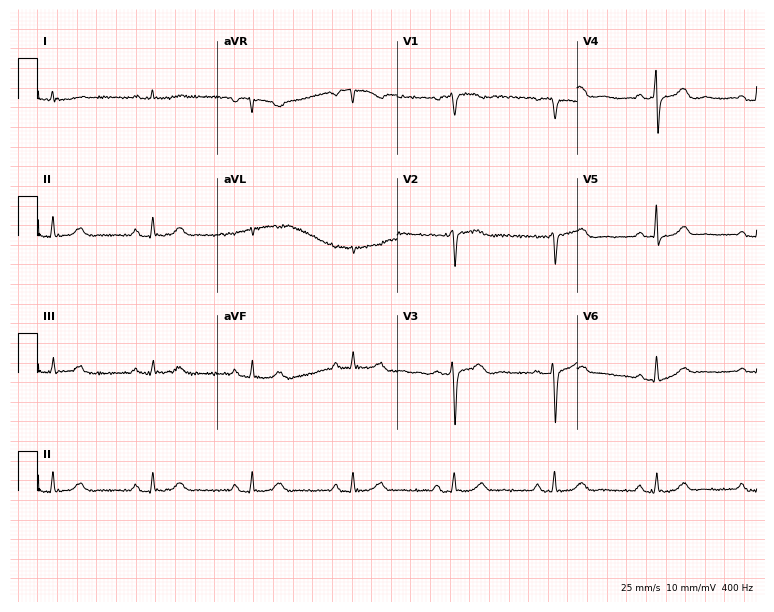
Standard 12-lead ECG recorded from a male patient, 76 years old (7.3-second recording at 400 Hz). Read as a normal ECG.